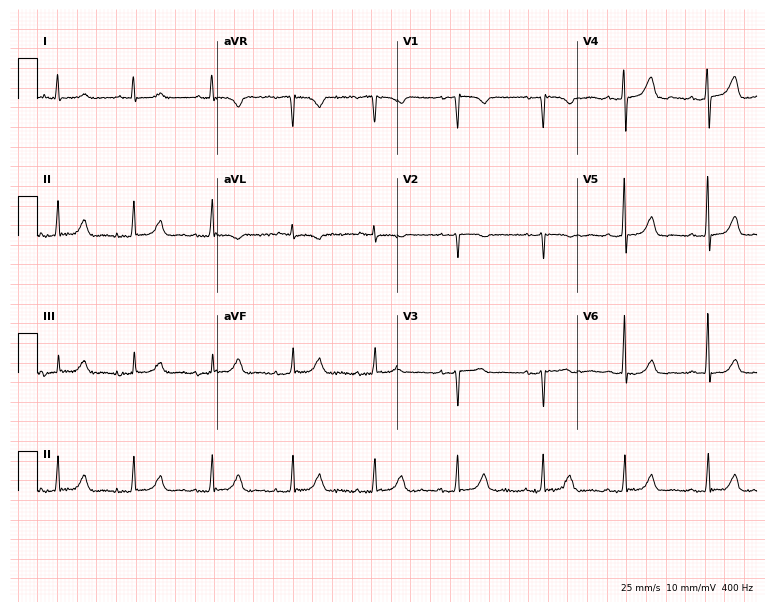
Resting 12-lead electrocardiogram (7.3-second recording at 400 Hz). Patient: a female, 50 years old. None of these six findings is recorded: first-degree AV block, right bundle branch block, left bundle branch block, sinus bradycardia, atrial fibrillation, sinus tachycardia.